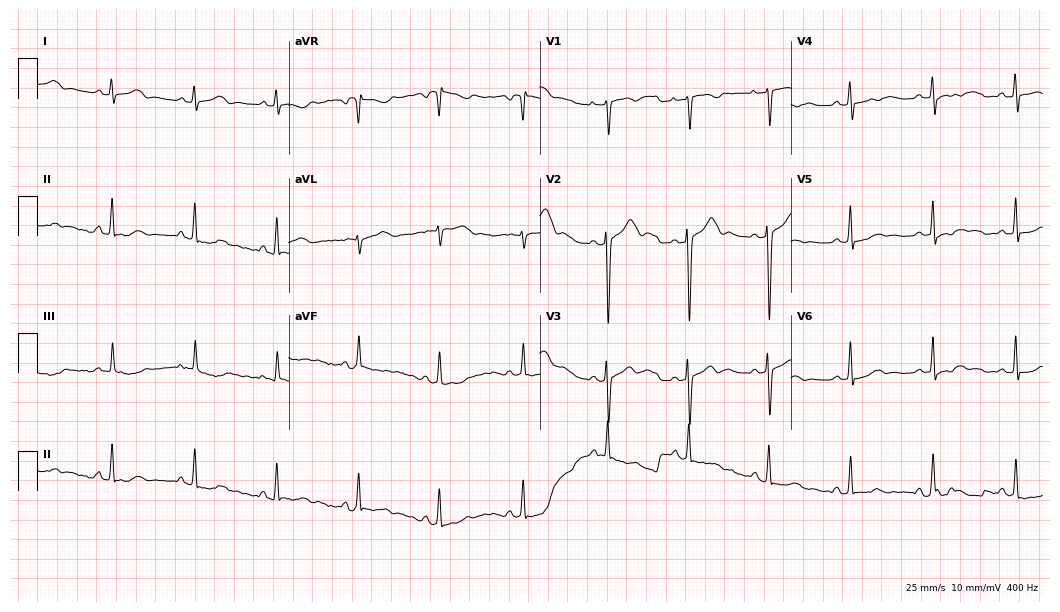
12-lead ECG from a 25-year-old female patient. Screened for six findings — first-degree AV block, right bundle branch block, left bundle branch block, sinus bradycardia, atrial fibrillation, sinus tachycardia — none is recorded. Other findings, if any, are not listed.